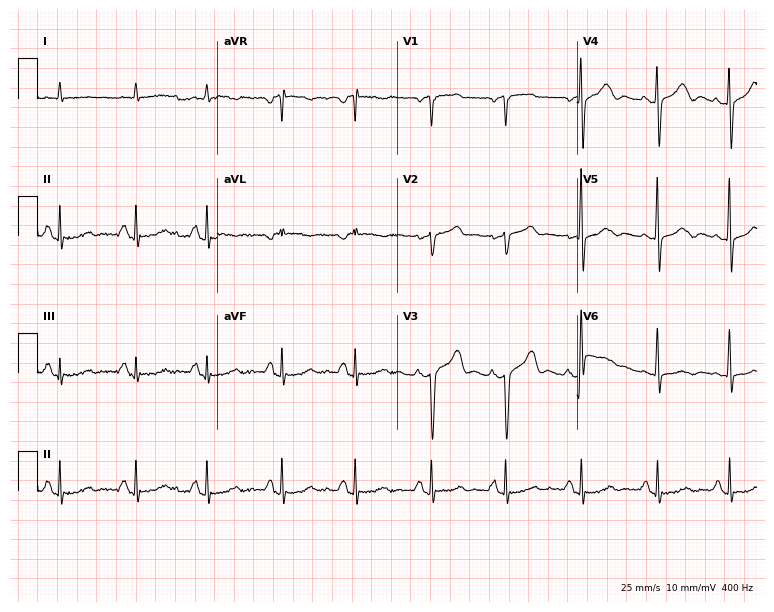
12-lead ECG (7.3-second recording at 400 Hz) from a male, 74 years old. Screened for six findings — first-degree AV block, right bundle branch block, left bundle branch block, sinus bradycardia, atrial fibrillation, sinus tachycardia — none is recorded. Findings outside these six are not listed.